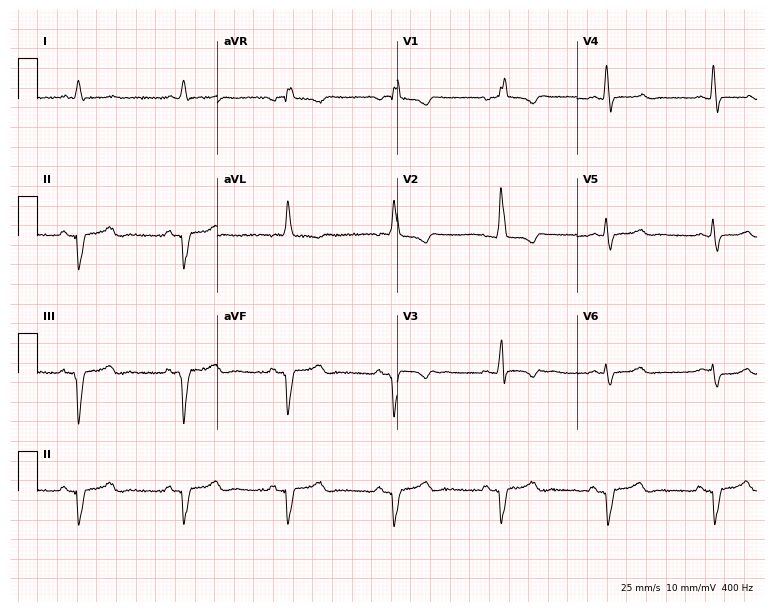
Electrocardiogram (7.3-second recording at 400 Hz), a 43-year-old woman. Of the six screened findings (first-degree AV block, right bundle branch block, left bundle branch block, sinus bradycardia, atrial fibrillation, sinus tachycardia), none is recorded.